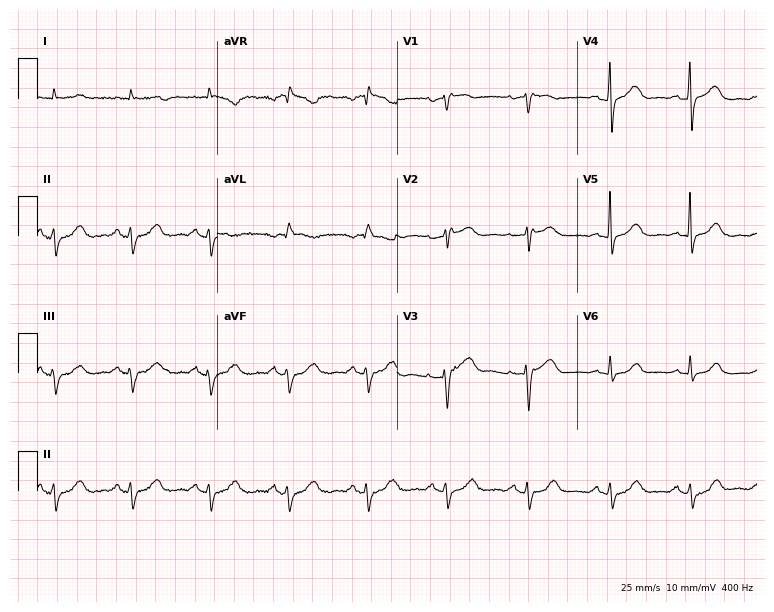
Electrocardiogram, a woman, 79 years old. Of the six screened findings (first-degree AV block, right bundle branch block, left bundle branch block, sinus bradycardia, atrial fibrillation, sinus tachycardia), none is recorded.